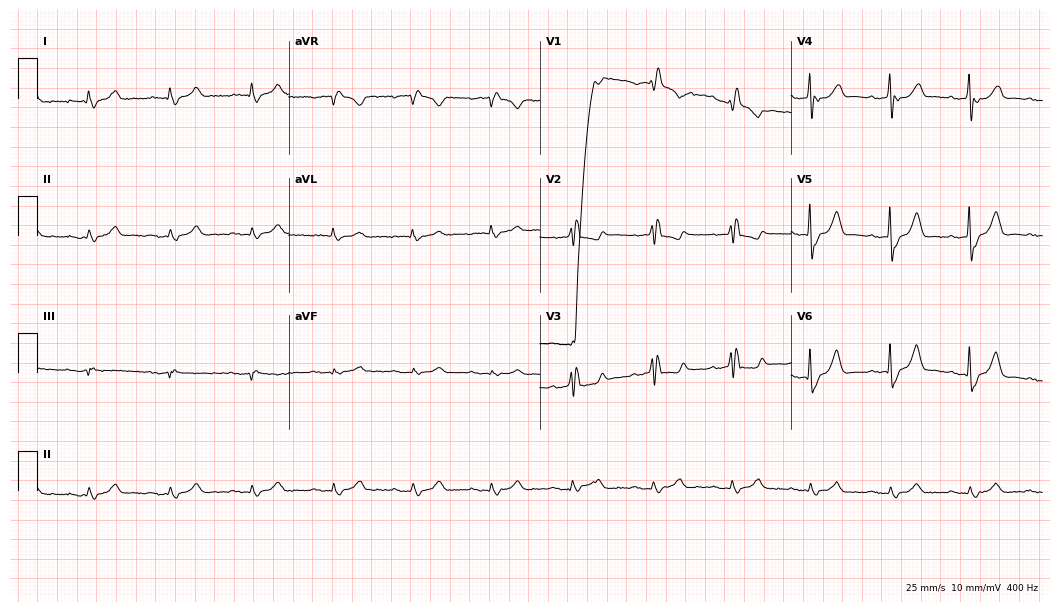
Electrocardiogram (10.2-second recording at 400 Hz), a man, 83 years old. Interpretation includes right bundle branch block.